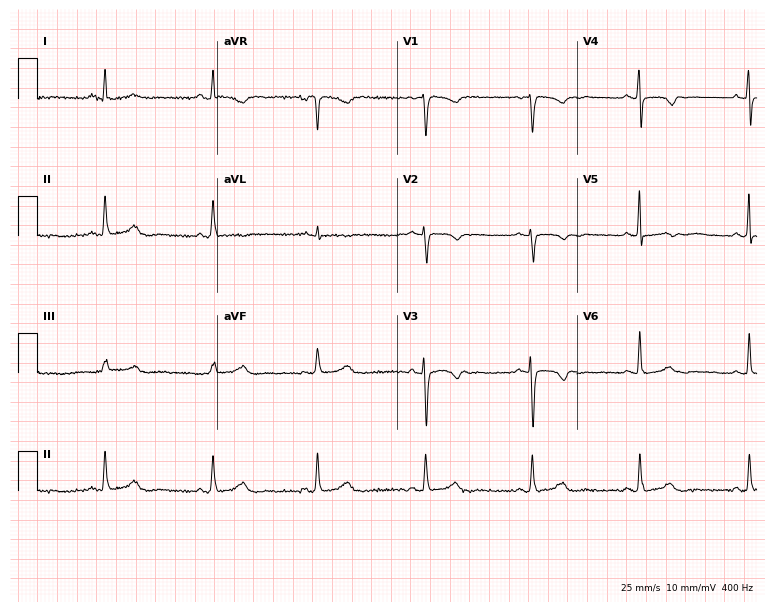
12-lead ECG from a female, 48 years old. No first-degree AV block, right bundle branch block, left bundle branch block, sinus bradycardia, atrial fibrillation or sinus tachycardia recorded for this tracing. Only these six findings were labelled.